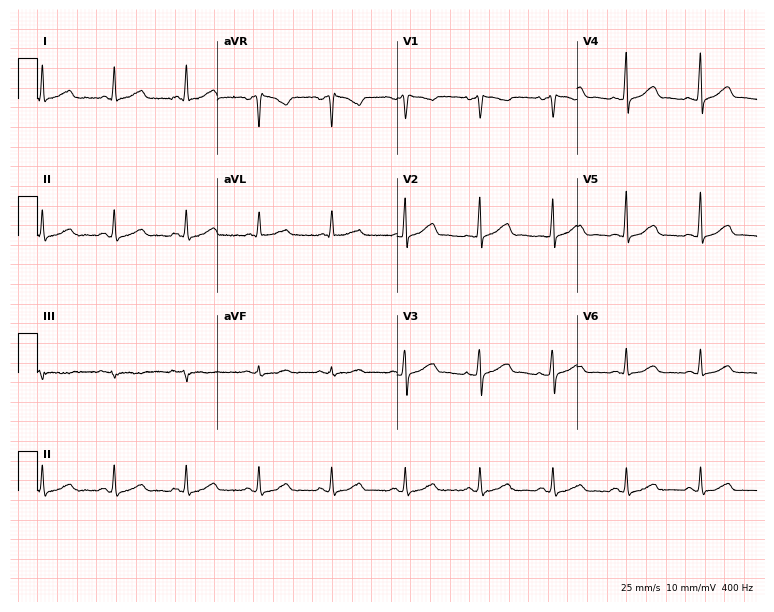
Electrocardiogram (7.3-second recording at 400 Hz), a 53-year-old woman. Overall reading on record: normal ECG.